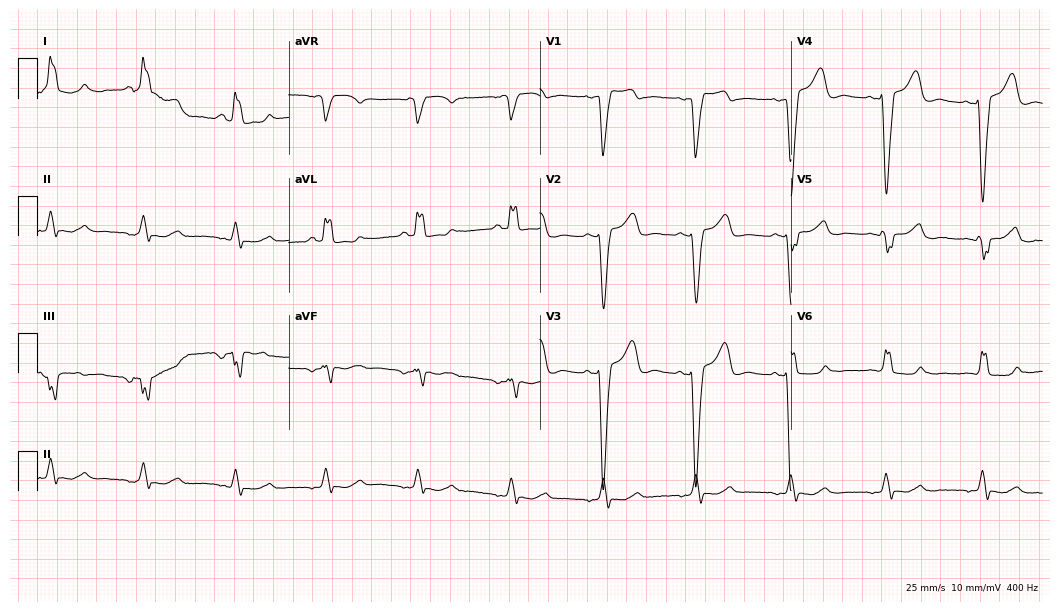
12-lead ECG (10.2-second recording at 400 Hz) from a female patient, 71 years old. Findings include left bundle branch block.